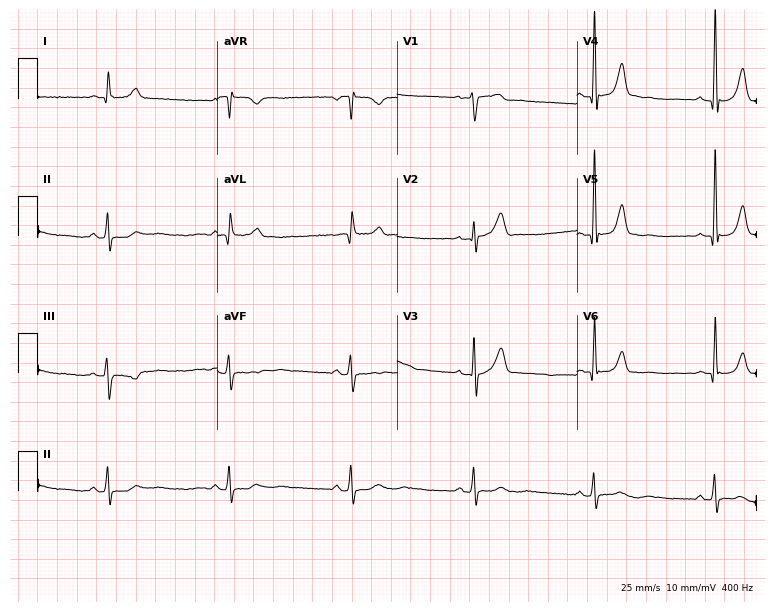
Electrocardiogram, a male, 72 years old. Interpretation includes sinus bradycardia (a sinus rate of 50 beats per minute or less).